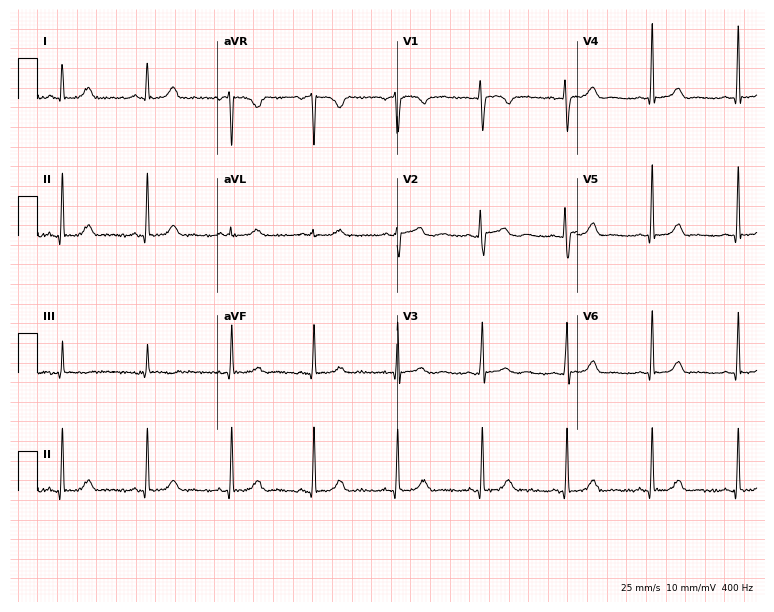
12-lead ECG from a female, 34 years old (7.3-second recording at 400 Hz). No first-degree AV block, right bundle branch block, left bundle branch block, sinus bradycardia, atrial fibrillation or sinus tachycardia recorded for this tracing.